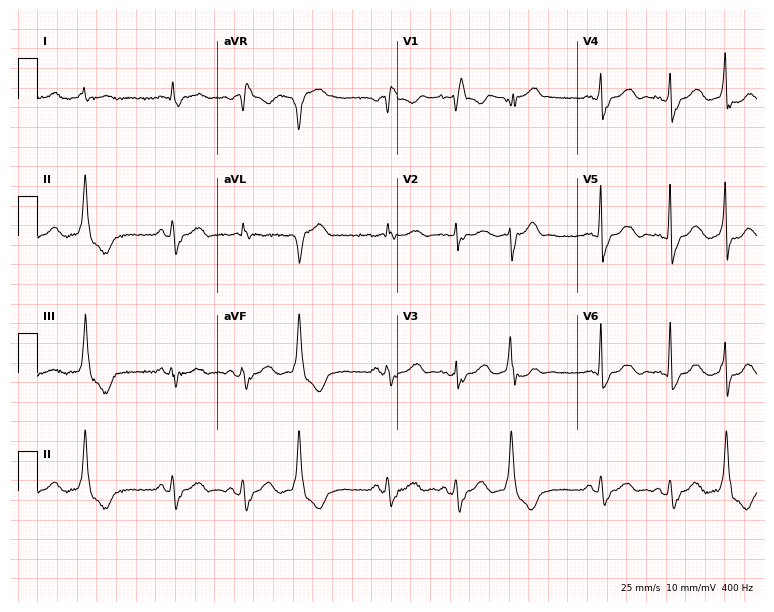
Standard 12-lead ECG recorded from a man, 82 years old (7.3-second recording at 400 Hz). The tracing shows right bundle branch block (RBBB).